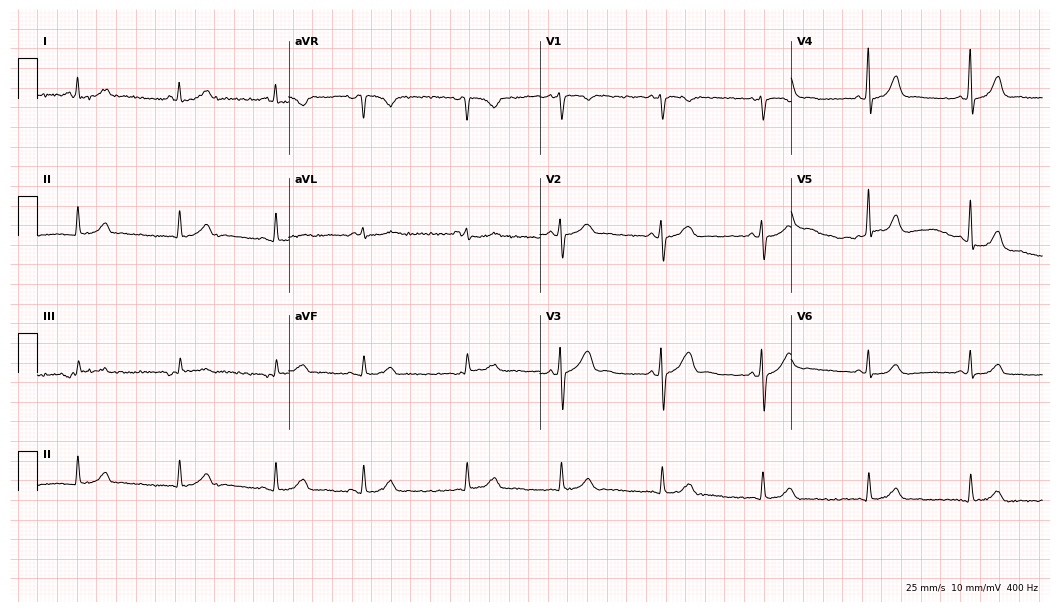
12-lead ECG from a 36-year-old female (10.2-second recording at 400 Hz). Recorded interpretation: within normal limits.